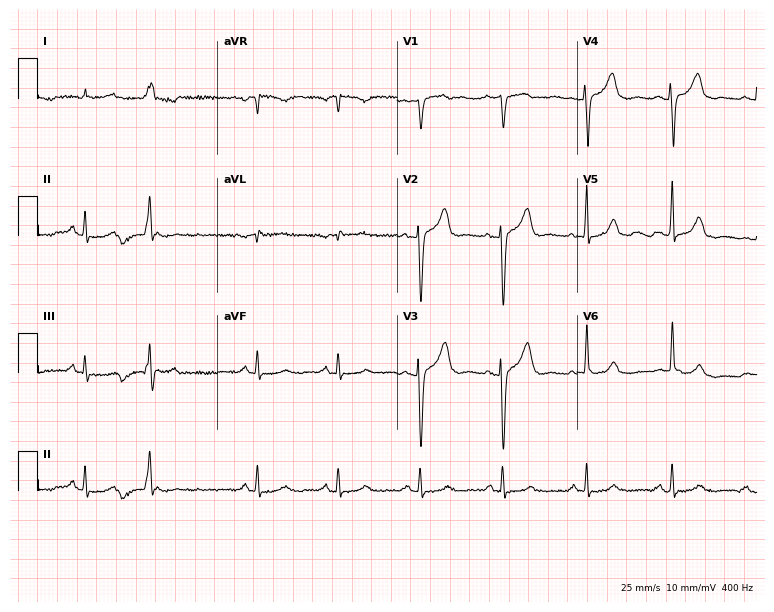
12-lead ECG from a man, 82 years old (7.3-second recording at 400 Hz). No first-degree AV block, right bundle branch block, left bundle branch block, sinus bradycardia, atrial fibrillation or sinus tachycardia recorded for this tracing.